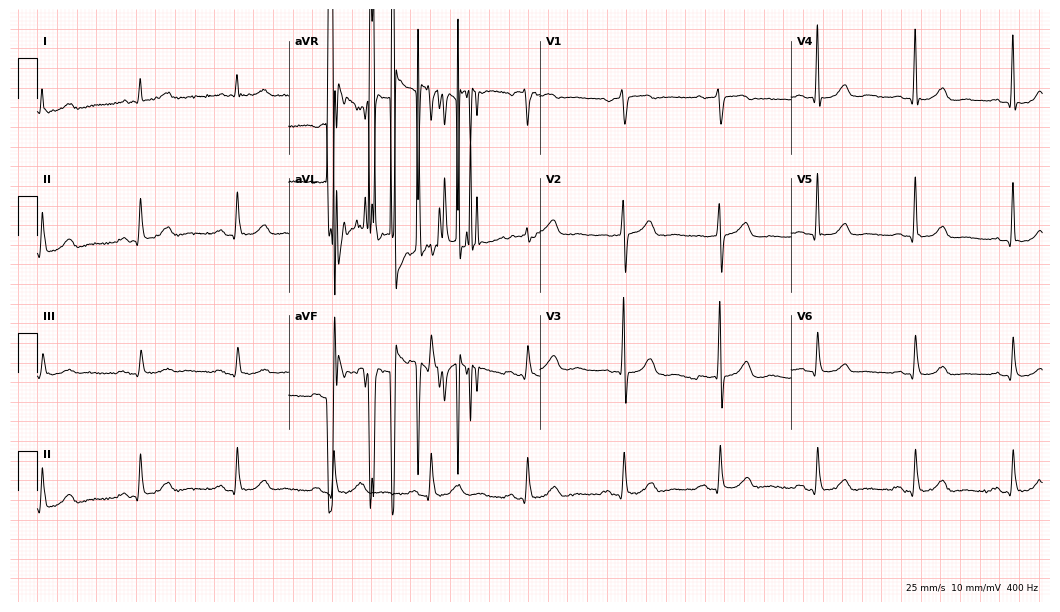
Standard 12-lead ECG recorded from a 77-year-old male (10.2-second recording at 400 Hz). None of these six findings is recorded: first-degree AV block, right bundle branch block, left bundle branch block, sinus bradycardia, atrial fibrillation, sinus tachycardia.